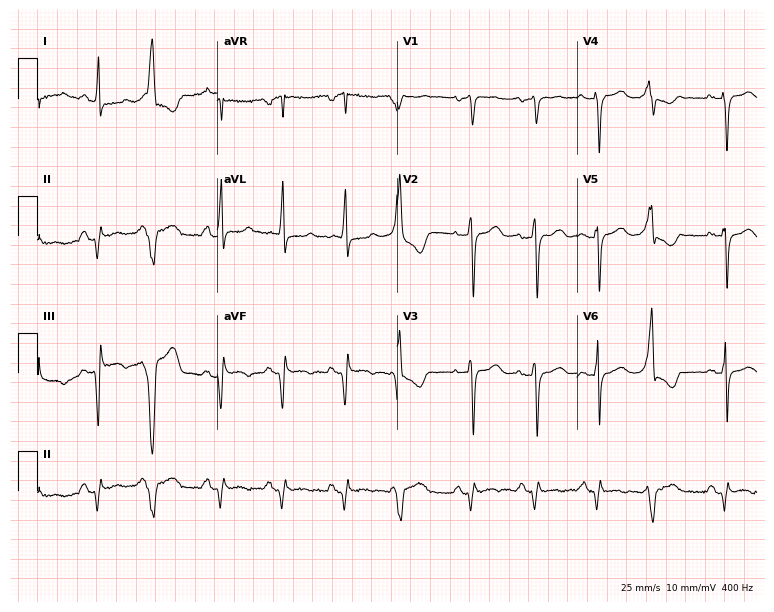
Electrocardiogram (7.3-second recording at 400 Hz), a female, 65 years old. Of the six screened findings (first-degree AV block, right bundle branch block (RBBB), left bundle branch block (LBBB), sinus bradycardia, atrial fibrillation (AF), sinus tachycardia), none is recorded.